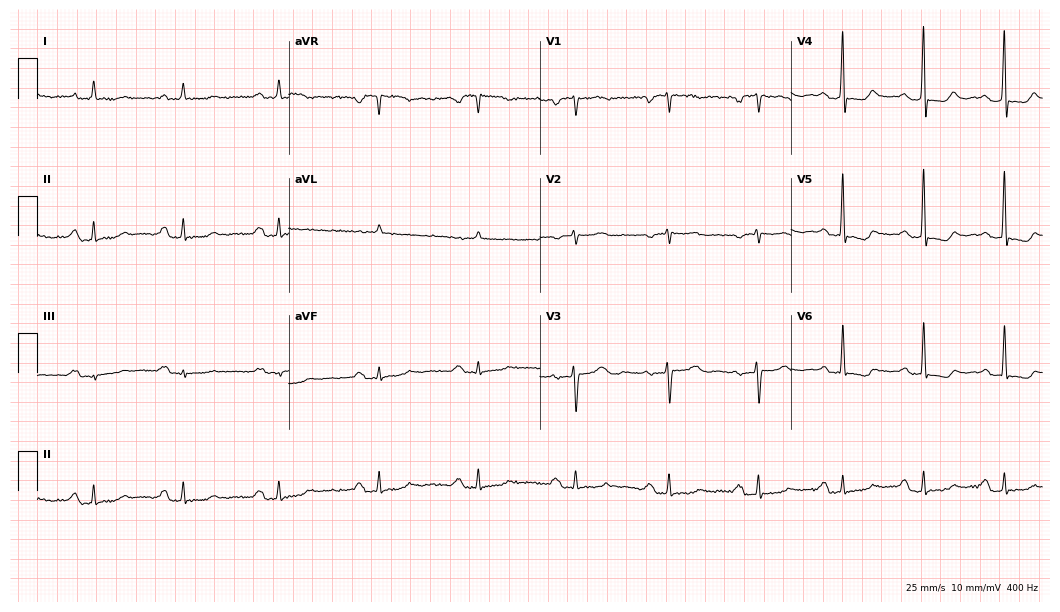
ECG — a 64-year-old woman. Screened for six findings — first-degree AV block, right bundle branch block, left bundle branch block, sinus bradycardia, atrial fibrillation, sinus tachycardia — none is recorded.